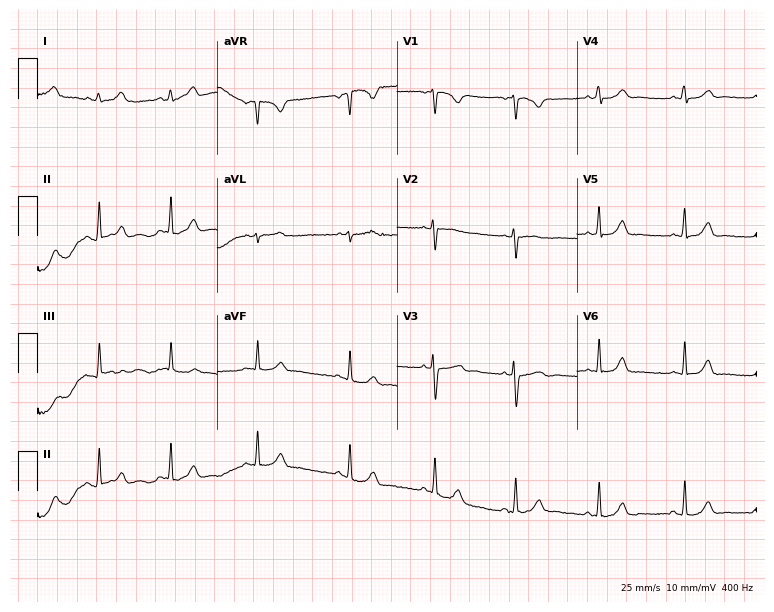
12-lead ECG from a 26-year-old female (7.3-second recording at 400 Hz). No first-degree AV block, right bundle branch block, left bundle branch block, sinus bradycardia, atrial fibrillation or sinus tachycardia recorded for this tracing.